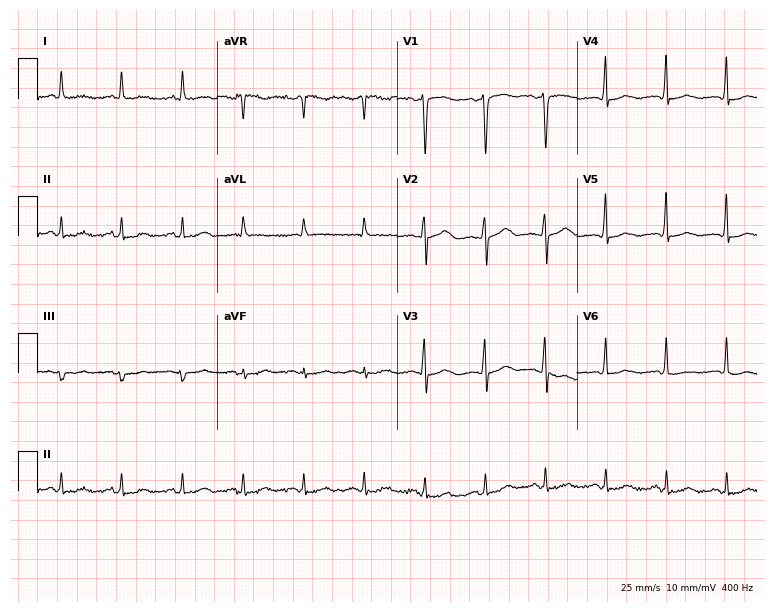
Resting 12-lead electrocardiogram. Patient: a female, 73 years old. None of these six findings is recorded: first-degree AV block, right bundle branch block, left bundle branch block, sinus bradycardia, atrial fibrillation, sinus tachycardia.